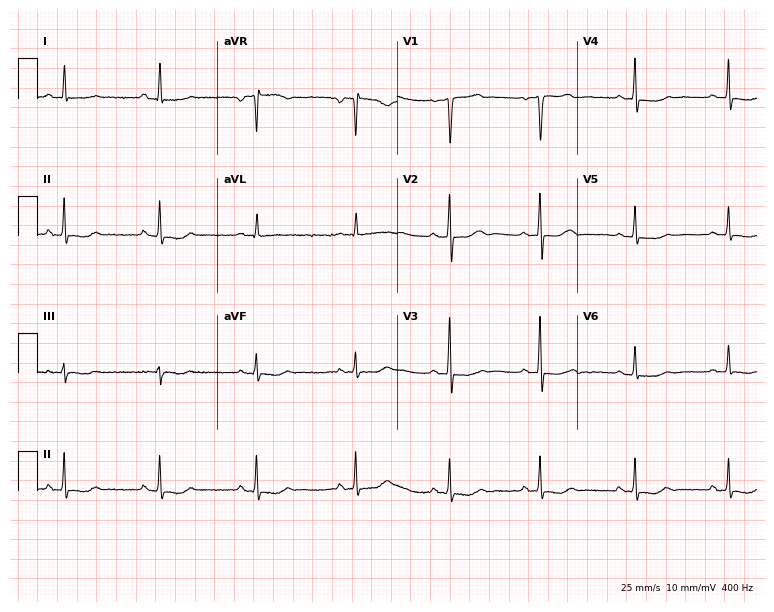
ECG — a 67-year-old woman. Screened for six findings — first-degree AV block, right bundle branch block (RBBB), left bundle branch block (LBBB), sinus bradycardia, atrial fibrillation (AF), sinus tachycardia — none is recorded. Only these six findings were labelled.